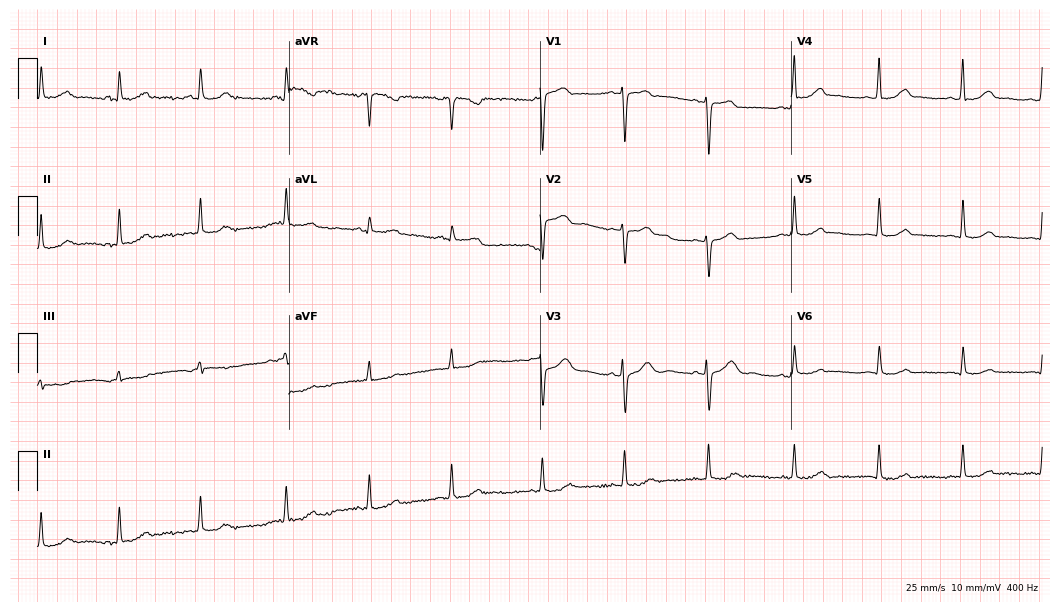
ECG (10.2-second recording at 400 Hz) — a 51-year-old female patient. Labelled as a normal ECG.